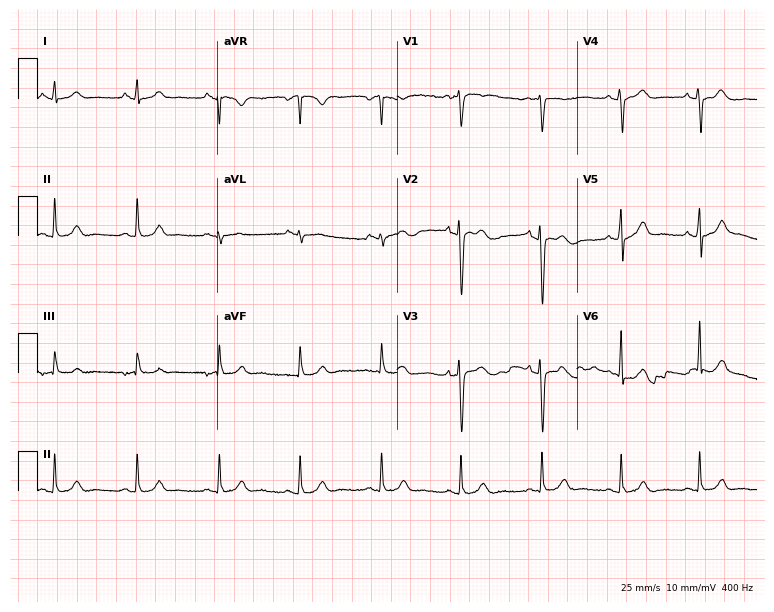
12-lead ECG from a female patient, 29 years old (7.3-second recording at 400 Hz). Recorded interpretation: within normal limits.